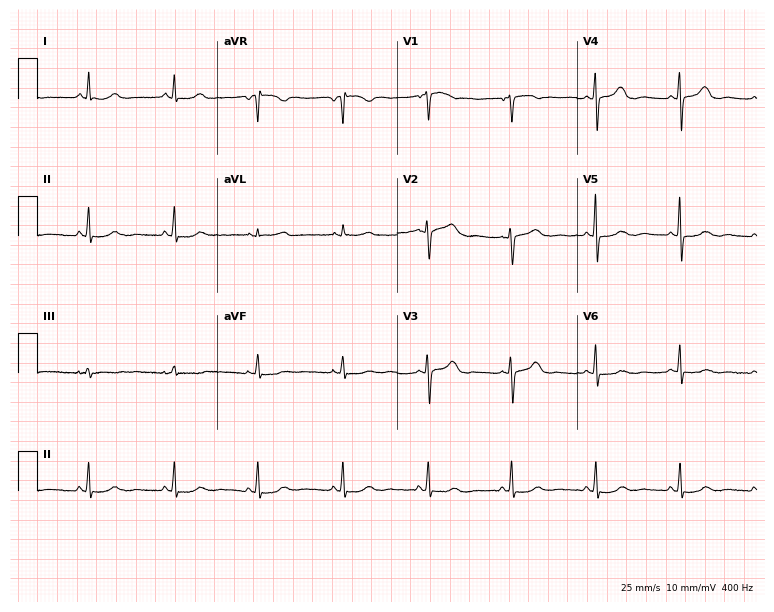
Resting 12-lead electrocardiogram (7.3-second recording at 400 Hz). Patient: a 48-year-old female. None of these six findings is recorded: first-degree AV block, right bundle branch block, left bundle branch block, sinus bradycardia, atrial fibrillation, sinus tachycardia.